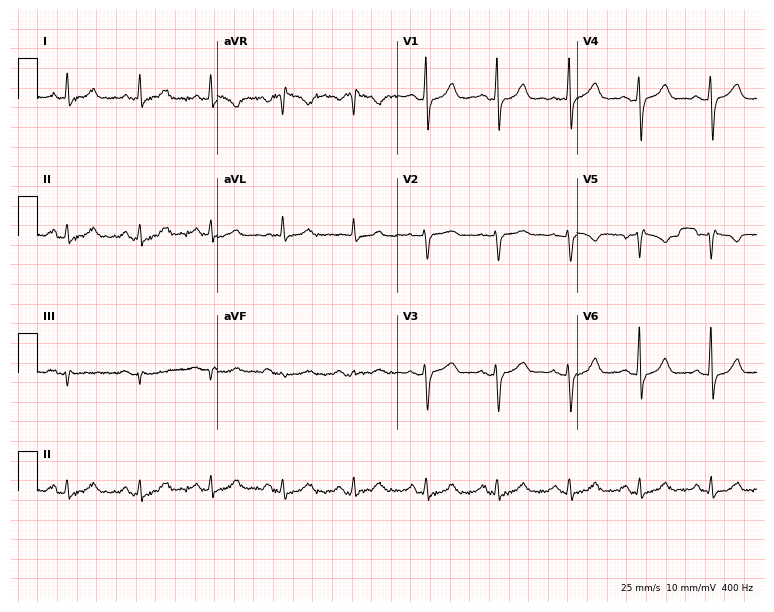
12-lead ECG from a 67-year-old man. Screened for six findings — first-degree AV block, right bundle branch block, left bundle branch block, sinus bradycardia, atrial fibrillation, sinus tachycardia — none is recorded.